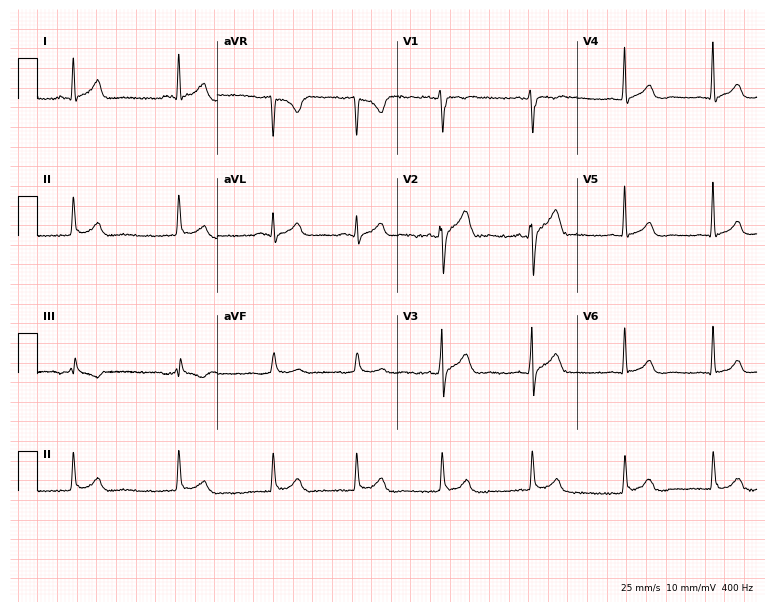
Resting 12-lead electrocardiogram. Patient: a male, 31 years old. Read as a normal ECG.